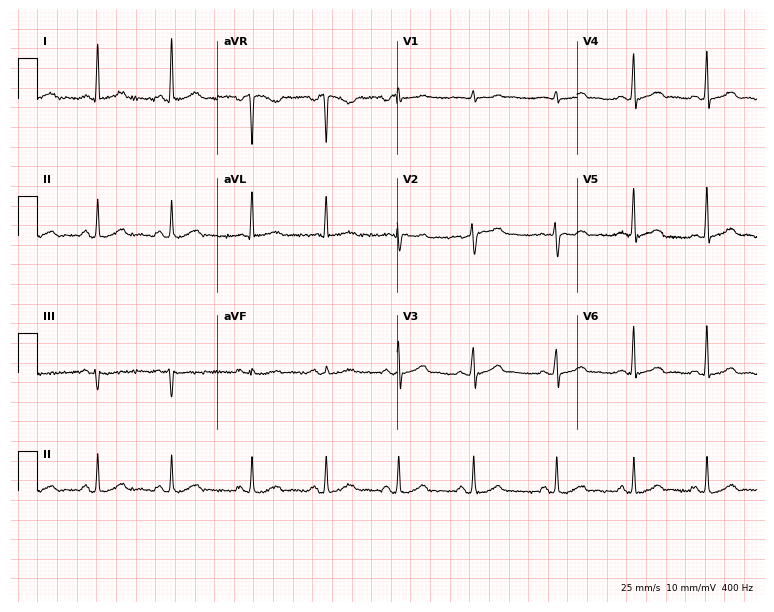
Standard 12-lead ECG recorded from a 37-year-old female patient. None of these six findings is recorded: first-degree AV block, right bundle branch block, left bundle branch block, sinus bradycardia, atrial fibrillation, sinus tachycardia.